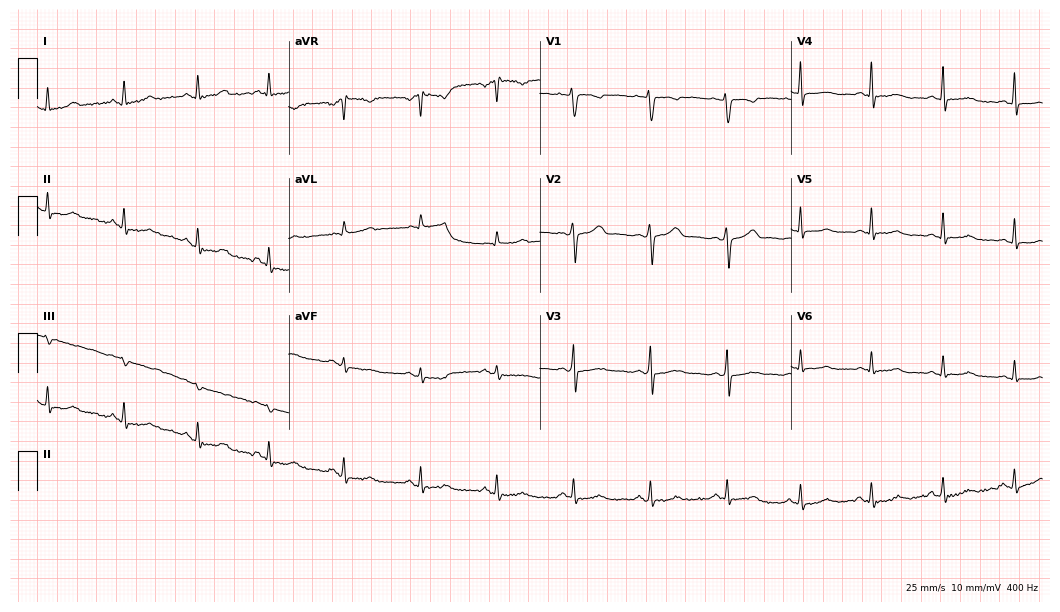
Resting 12-lead electrocardiogram. Patient: a woman, 43 years old. Read as a normal ECG.